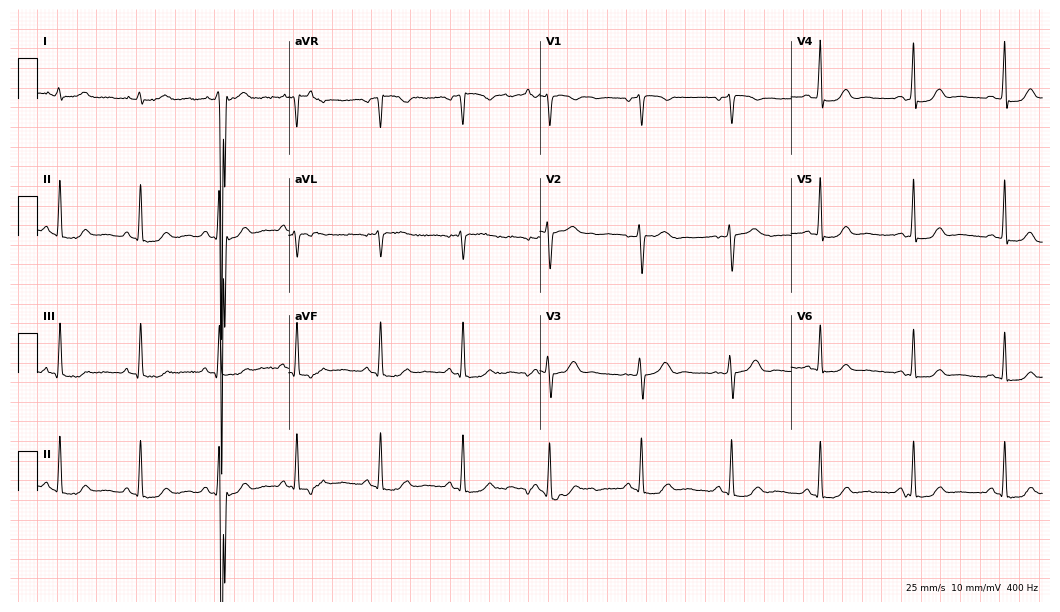
Standard 12-lead ECG recorded from a female, 44 years old (10.2-second recording at 400 Hz). None of these six findings is recorded: first-degree AV block, right bundle branch block (RBBB), left bundle branch block (LBBB), sinus bradycardia, atrial fibrillation (AF), sinus tachycardia.